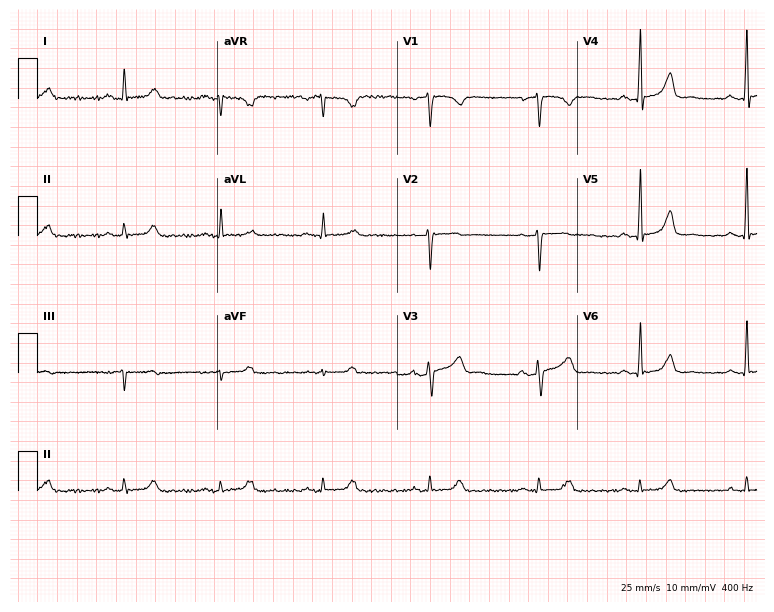
Electrocardiogram (7.3-second recording at 400 Hz), a 48-year-old male. Overall reading on record: normal ECG.